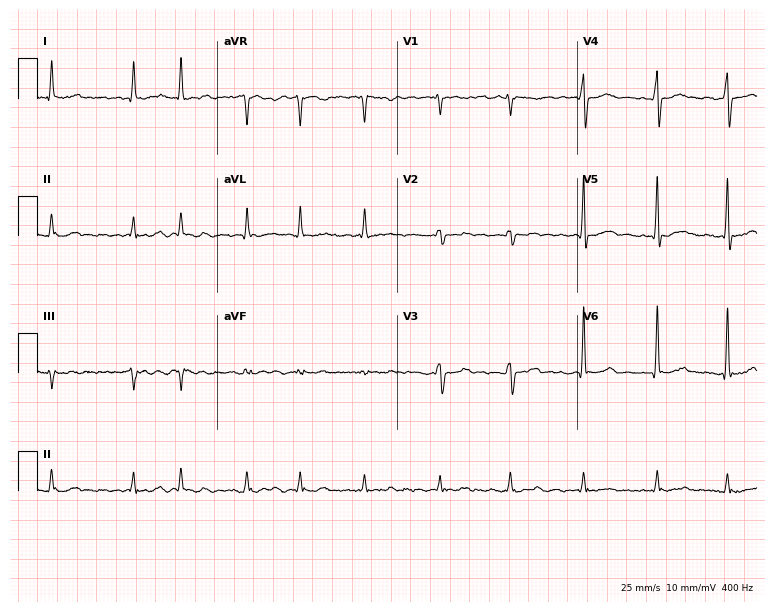
Standard 12-lead ECG recorded from a male, 82 years old. None of these six findings is recorded: first-degree AV block, right bundle branch block, left bundle branch block, sinus bradycardia, atrial fibrillation, sinus tachycardia. Findings outside these six are not listed.